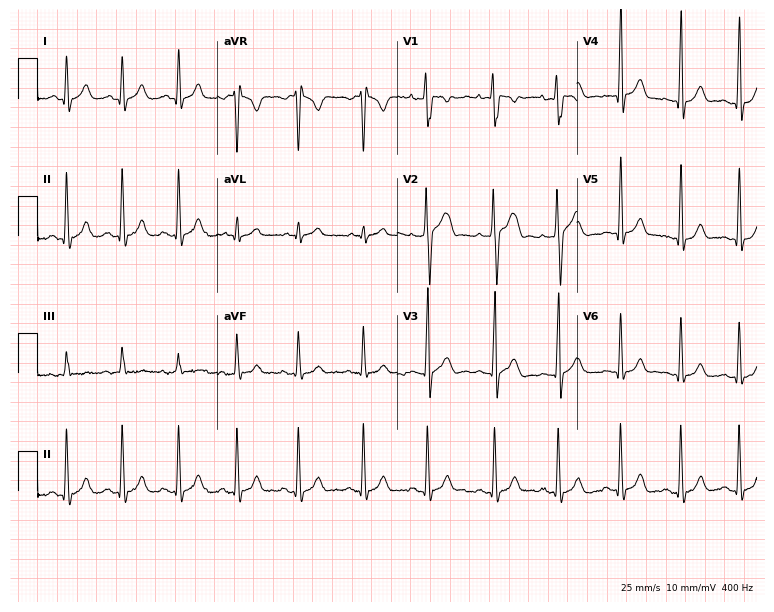
12-lead ECG from a man, 30 years old. Labelled as a normal ECG.